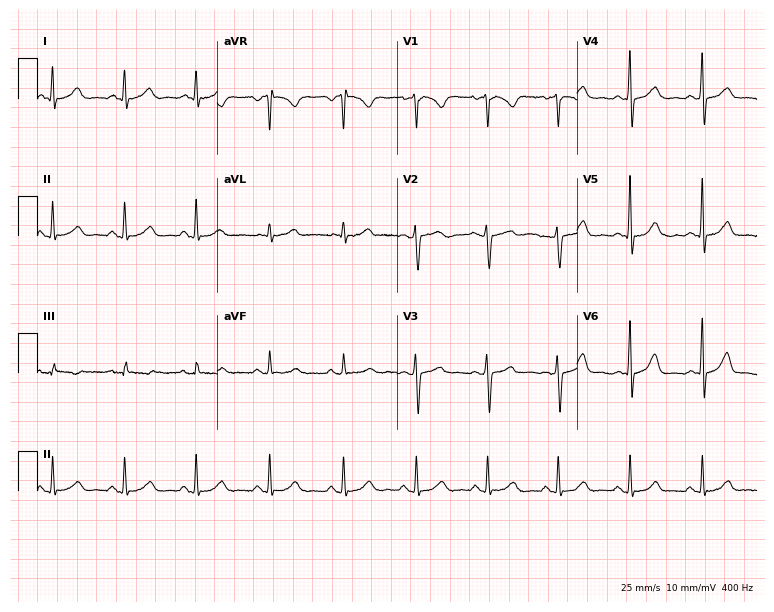
12-lead ECG from a 34-year-old female patient (7.3-second recording at 400 Hz). Recorded interpretation: within normal limits.